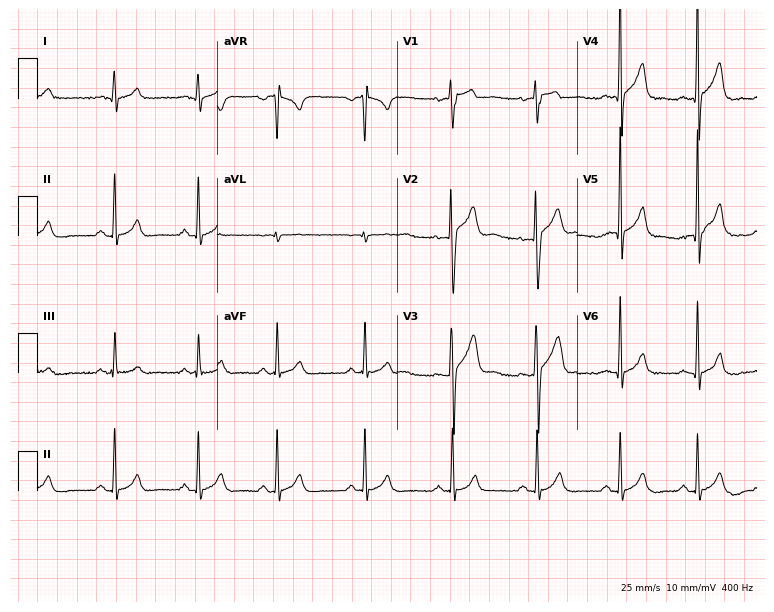
ECG — a male, 19 years old. Screened for six findings — first-degree AV block, right bundle branch block, left bundle branch block, sinus bradycardia, atrial fibrillation, sinus tachycardia — none is recorded.